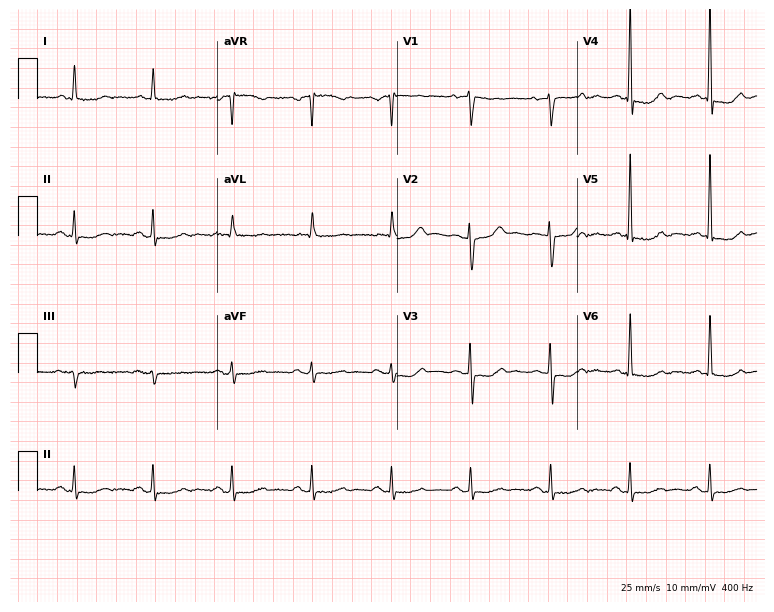
Electrocardiogram (7.3-second recording at 400 Hz), a female, 83 years old. Of the six screened findings (first-degree AV block, right bundle branch block (RBBB), left bundle branch block (LBBB), sinus bradycardia, atrial fibrillation (AF), sinus tachycardia), none is recorded.